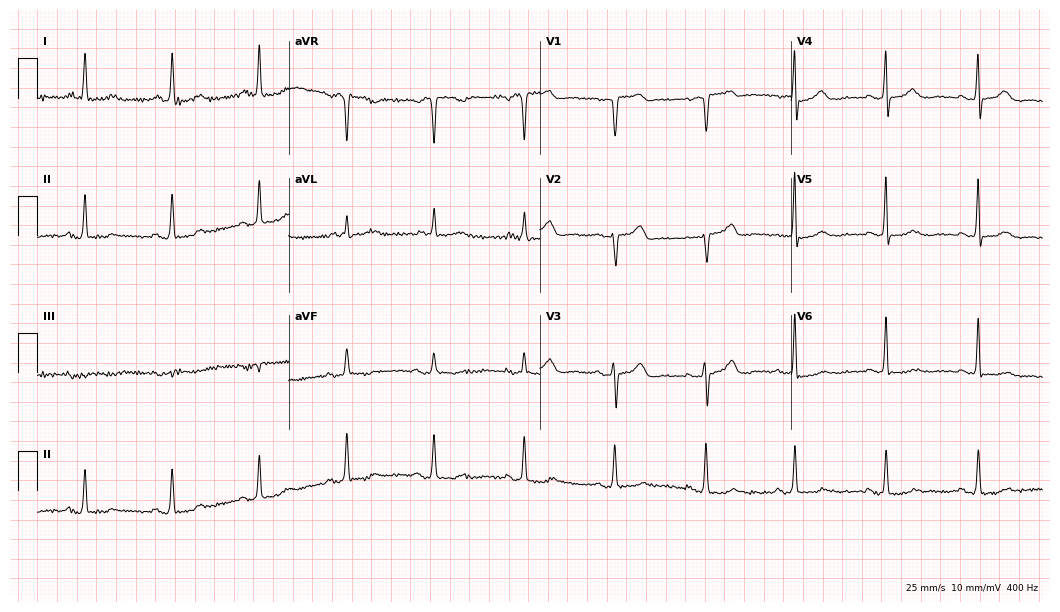
Electrocardiogram (10.2-second recording at 400 Hz), an 82-year-old woman. Of the six screened findings (first-degree AV block, right bundle branch block, left bundle branch block, sinus bradycardia, atrial fibrillation, sinus tachycardia), none is recorded.